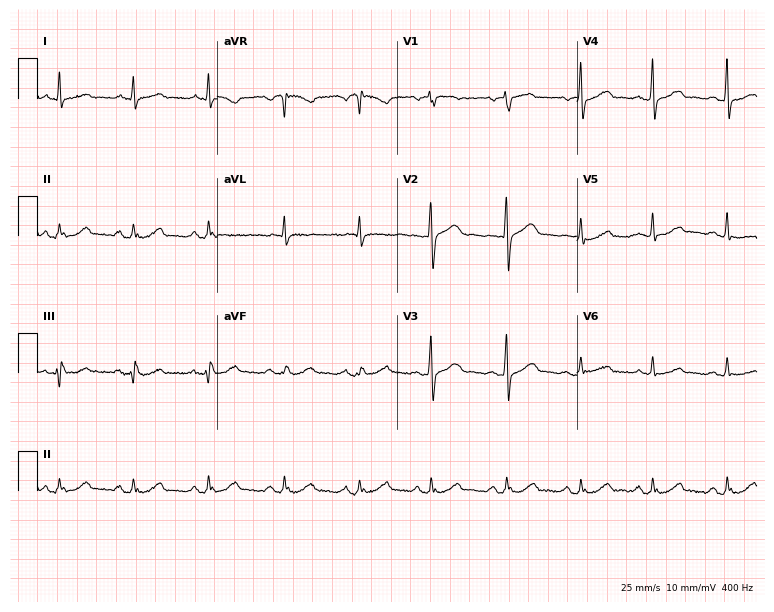
Resting 12-lead electrocardiogram. Patient: a 52-year-old male. Read as a normal ECG.